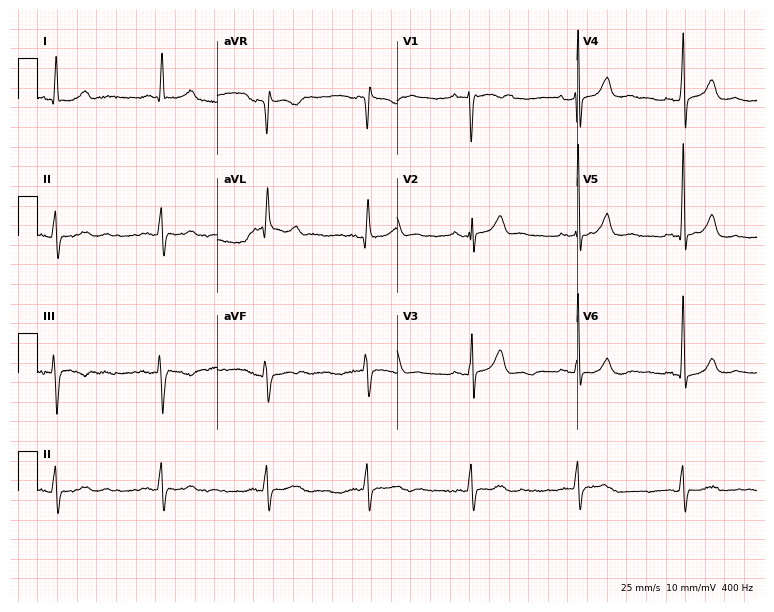
12-lead ECG from a 74-year-old female patient (7.3-second recording at 400 Hz). No first-degree AV block, right bundle branch block, left bundle branch block, sinus bradycardia, atrial fibrillation or sinus tachycardia recorded for this tracing.